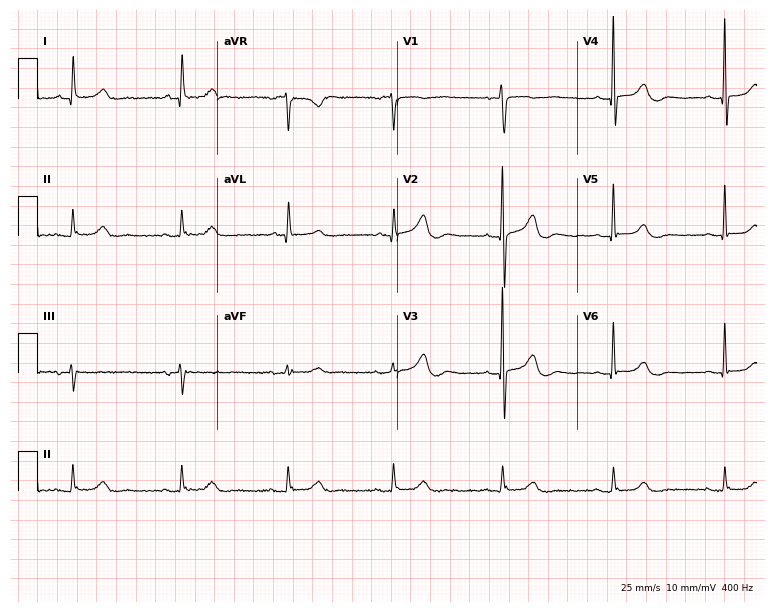
12-lead ECG from an 80-year-old female (7.3-second recording at 400 Hz). Recorded interpretation: within normal limits.